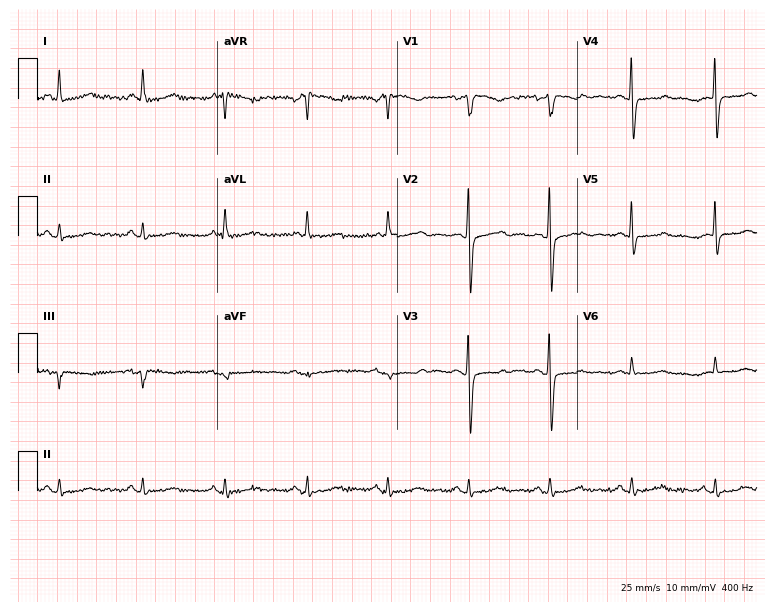
12-lead ECG from a 70-year-old female patient (7.3-second recording at 400 Hz). No first-degree AV block, right bundle branch block, left bundle branch block, sinus bradycardia, atrial fibrillation or sinus tachycardia recorded for this tracing.